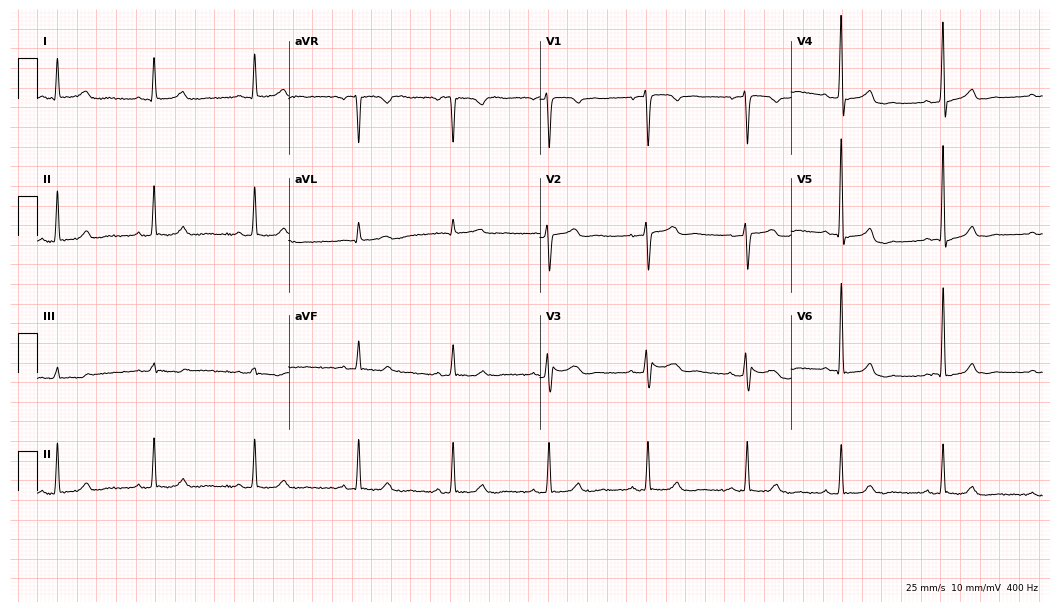
ECG (10.2-second recording at 400 Hz) — a woman, 55 years old. Screened for six findings — first-degree AV block, right bundle branch block, left bundle branch block, sinus bradycardia, atrial fibrillation, sinus tachycardia — none is recorded.